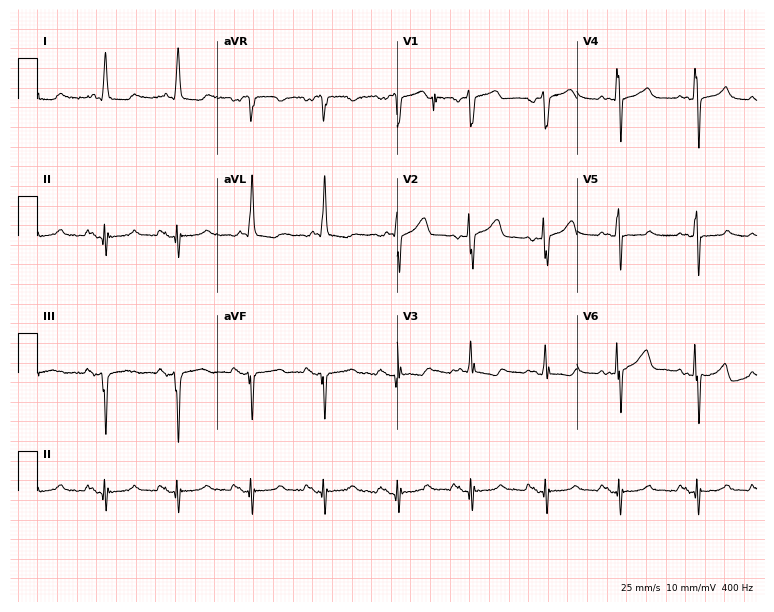
12-lead ECG (7.3-second recording at 400 Hz) from a male, 61 years old. Screened for six findings — first-degree AV block, right bundle branch block, left bundle branch block, sinus bradycardia, atrial fibrillation, sinus tachycardia — none is recorded. Other findings, if any, are not listed.